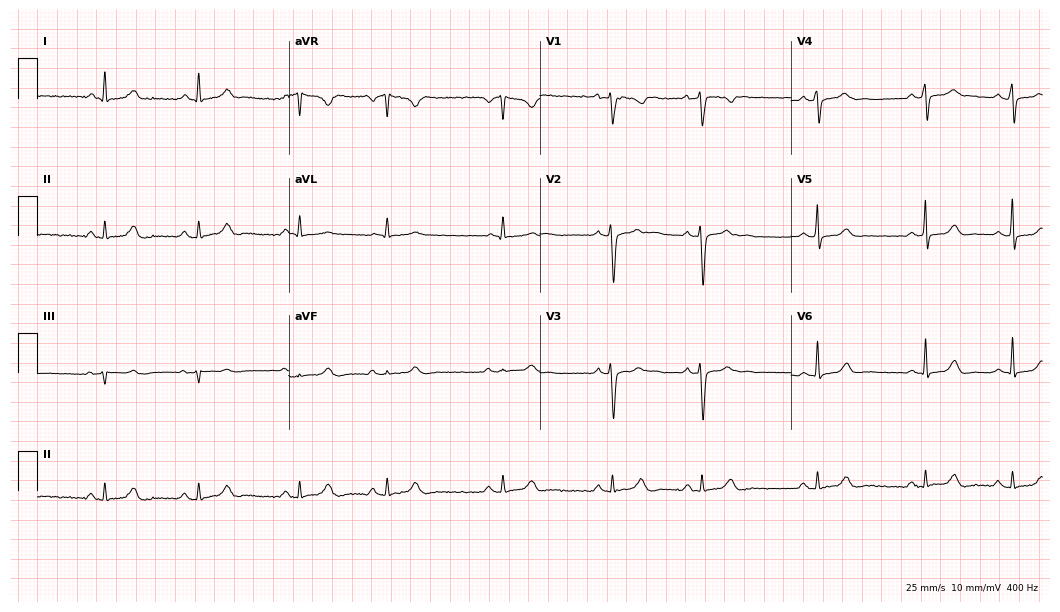
ECG (10.2-second recording at 400 Hz) — a female, 19 years old. Labelled as a normal ECG.